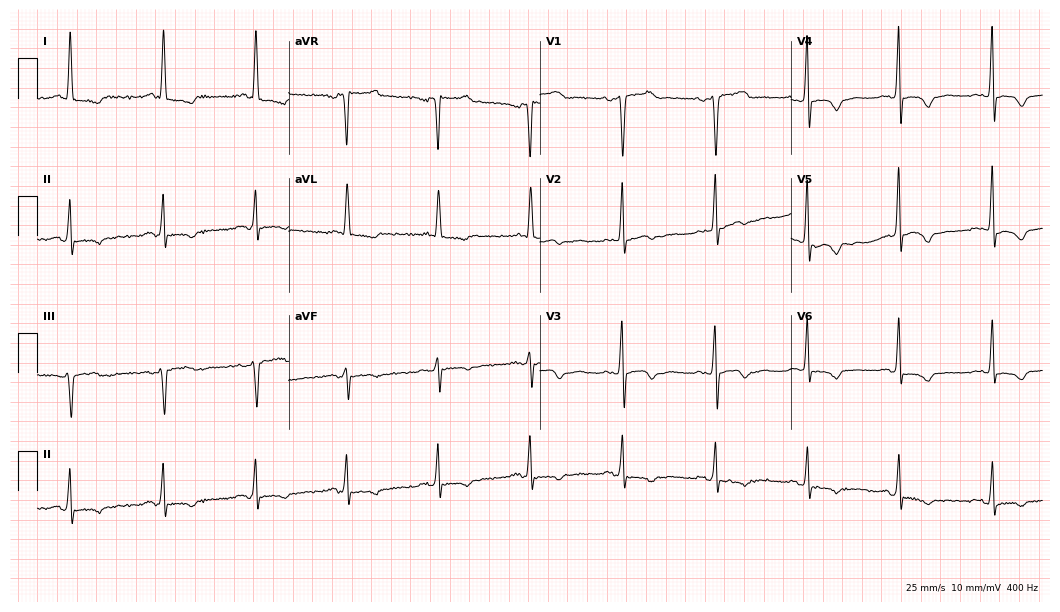
Electrocardiogram, a female, 71 years old. Of the six screened findings (first-degree AV block, right bundle branch block, left bundle branch block, sinus bradycardia, atrial fibrillation, sinus tachycardia), none is recorded.